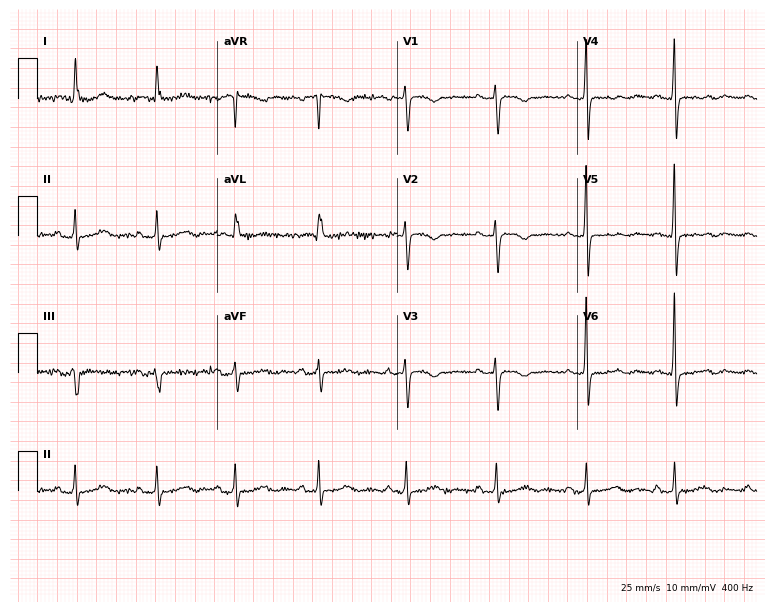
12-lead ECG from a female patient, 67 years old. Screened for six findings — first-degree AV block, right bundle branch block, left bundle branch block, sinus bradycardia, atrial fibrillation, sinus tachycardia — none is recorded.